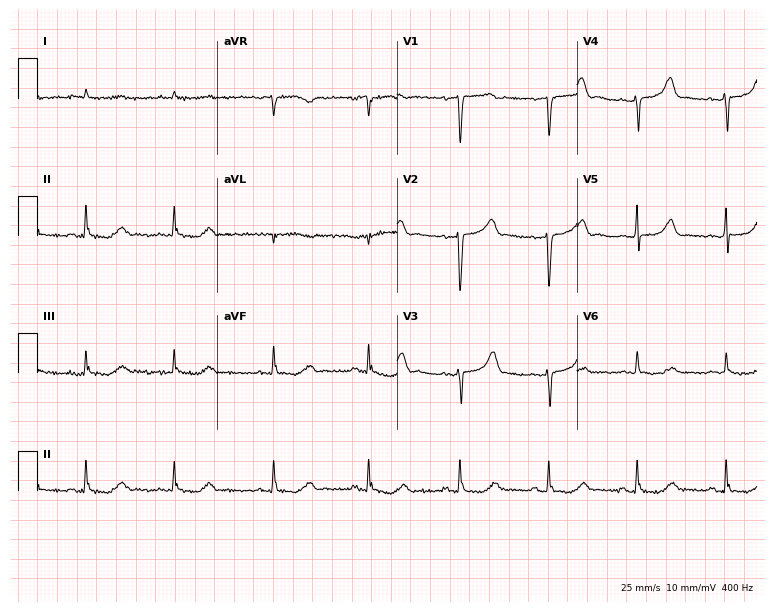
ECG (7.3-second recording at 400 Hz) — a male, 76 years old. Labelled as a normal ECG.